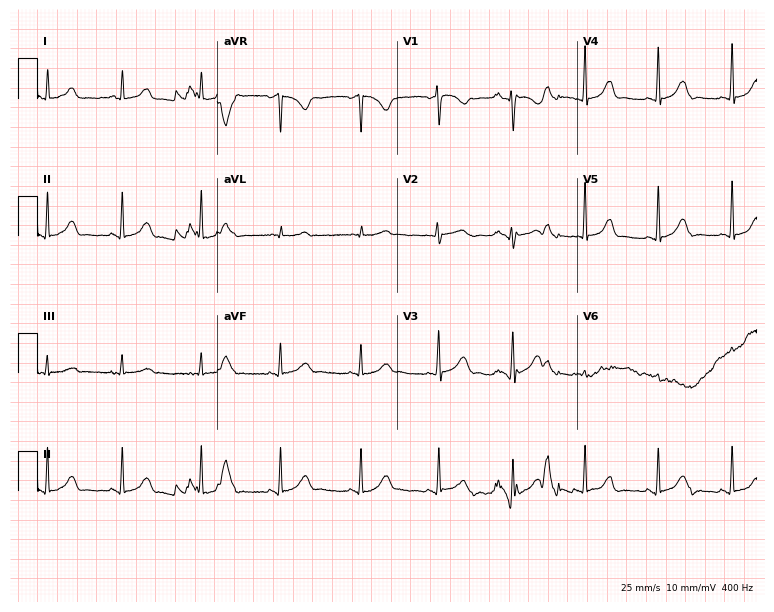
12-lead ECG from a woman, 46 years old (7.3-second recording at 400 Hz). Recorded interpretation: within normal limits.